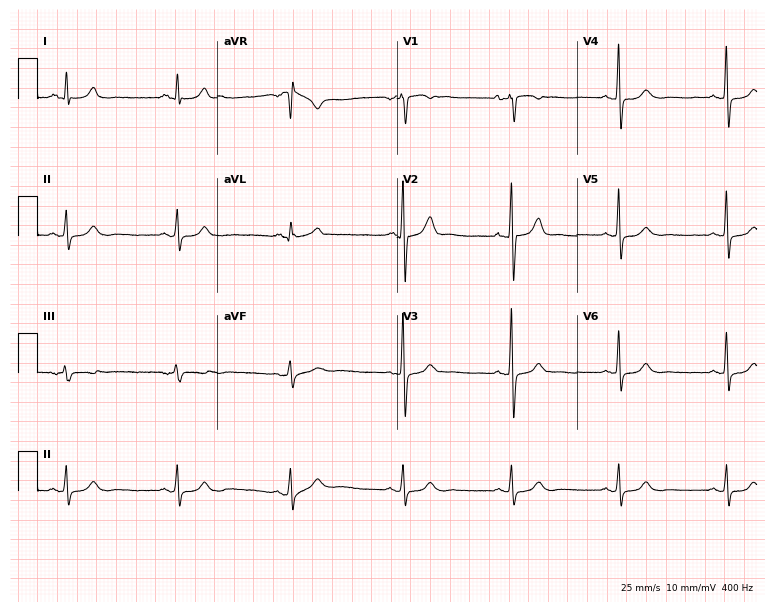
Electrocardiogram (7.3-second recording at 400 Hz), a man, 51 years old. Overall reading on record: normal ECG.